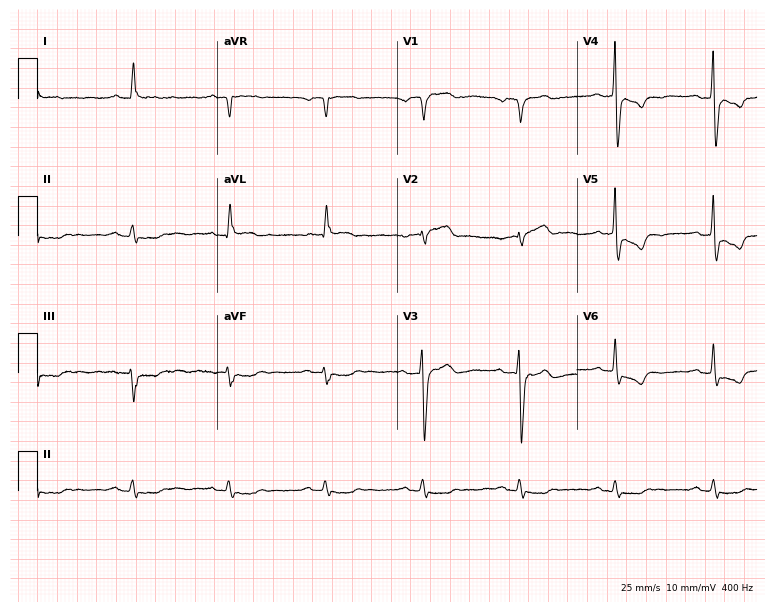
ECG — a male patient, 81 years old. Labelled as a normal ECG.